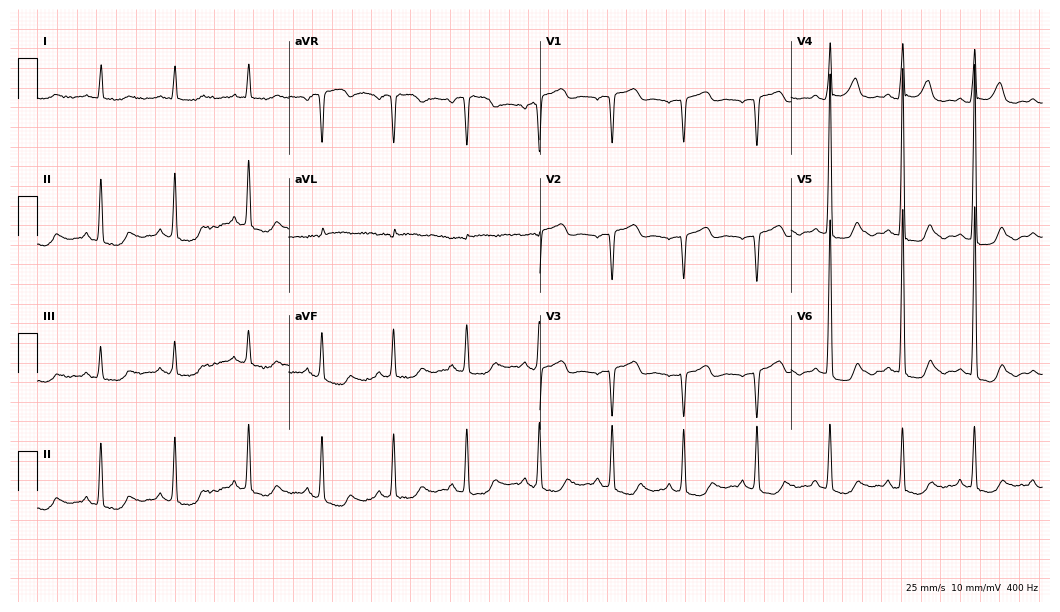
Resting 12-lead electrocardiogram (10.2-second recording at 400 Hz). Patient: a female, 80 years old. None of these six findings is recorded: first-degree AV block, right bundle branch block, left bundle branch block, sinus bradycardia, atrial fibrillation, sinus tachycardia. Only these six findings were labelled.